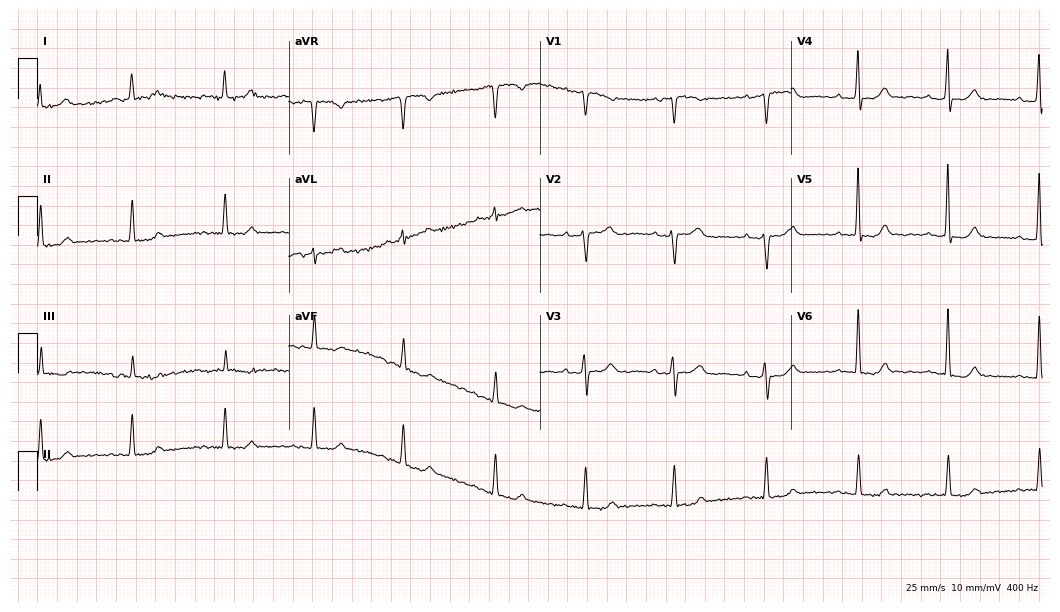
Standard 12-lead ECG recorded from a female patient, 81 years old (10.2-second recording at 400 Hz). None of these six findings is recorded: first-degree AV block, right bundle branch block (RBBB), left bundle branch block (LBBB), sinus bradycardia, atrial fibrillation (AF), sinus tachycardia.